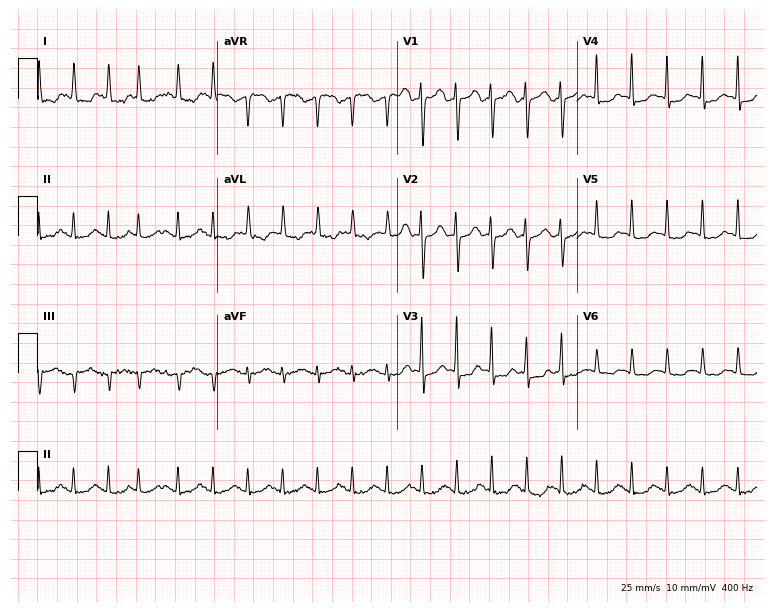
ECG (7.3-second recording at 400 Hz) — a 74-year-old female patient. Findings include sinus tachycardia (a sinus rate of 100 beats per minute or more).